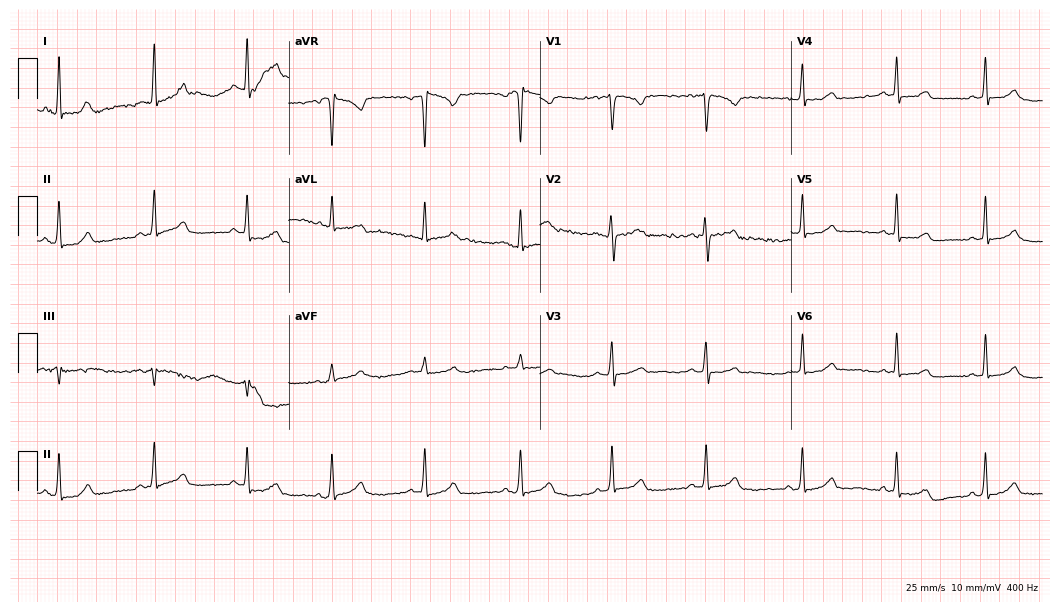
ECG — a 21-year-old female patient. Labelled as a normal ECG.